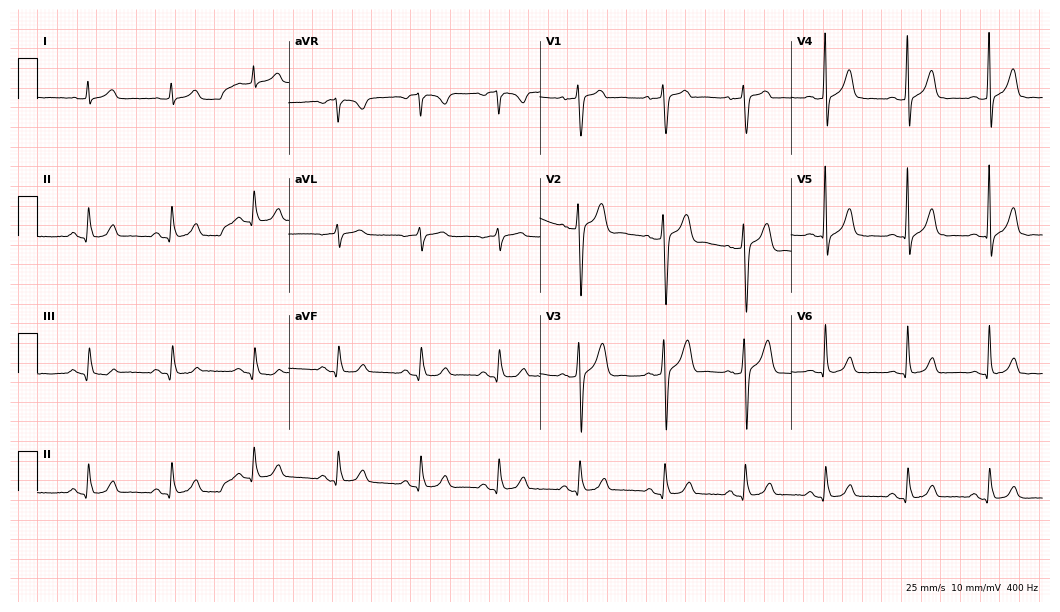
Electrocardiogram (10.2-second recording at 400 Hz), a male patient, 49 years old. Of the six screened findings (first-degree AV block, right bundle branch block (RBBB), left bundle branch block (LBBB), sinus bradycardia, atrial fibrillation (AF), sinus tachycardia), none is recorded. Only these six findings were labelled.